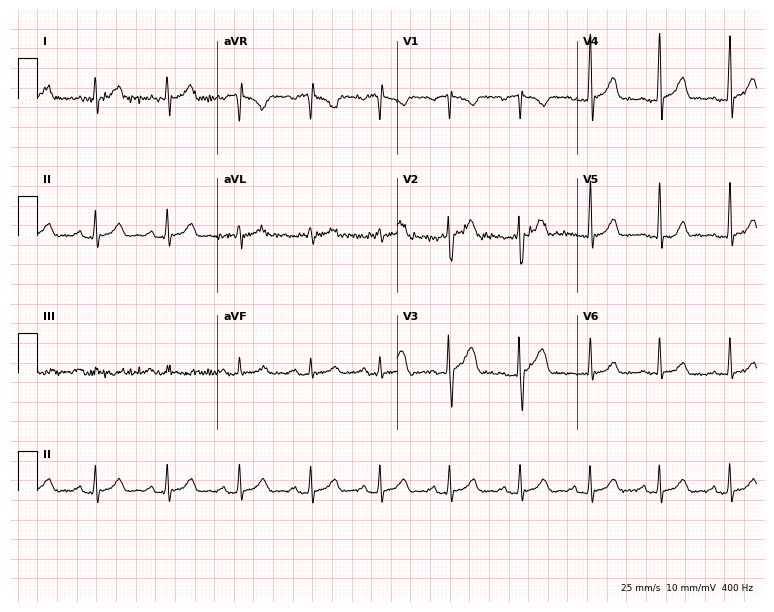
12-lead ECG from a 31-year-old man (7.3-second recording at 400 Hz). Recorded interpretation: within normal limits.